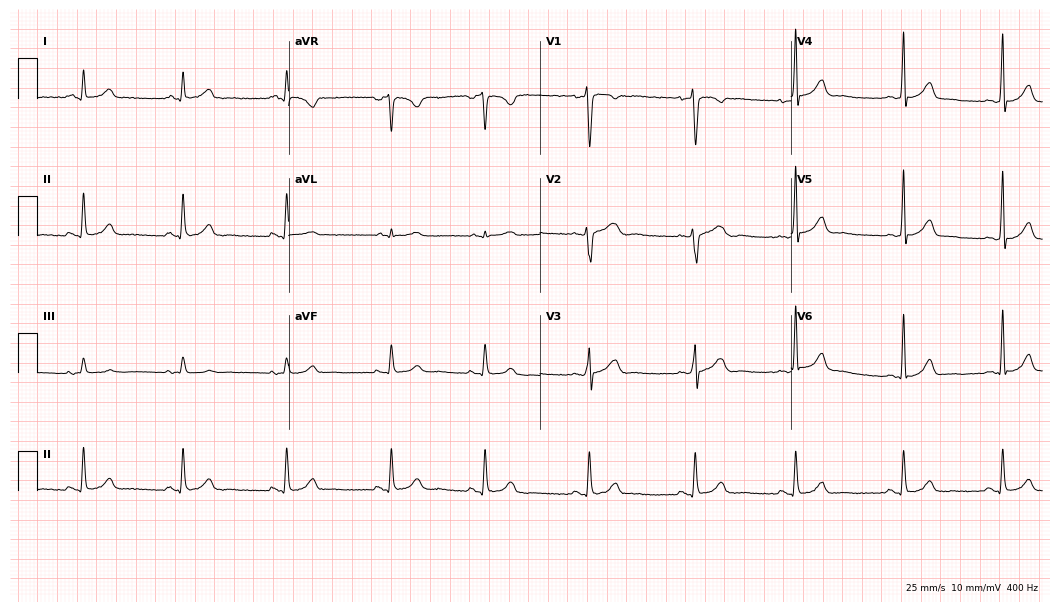
Electrocardiogram (10.2-second recording at 400 Hz), a female, 20 years old. Of the six screened findings (first-degree AV block, right bundle branch block (RBBB), left bundle branch block (LBBB), sinus bradycardia, atrial fibrillation (AF), sinus tachycardia), none is recorded.